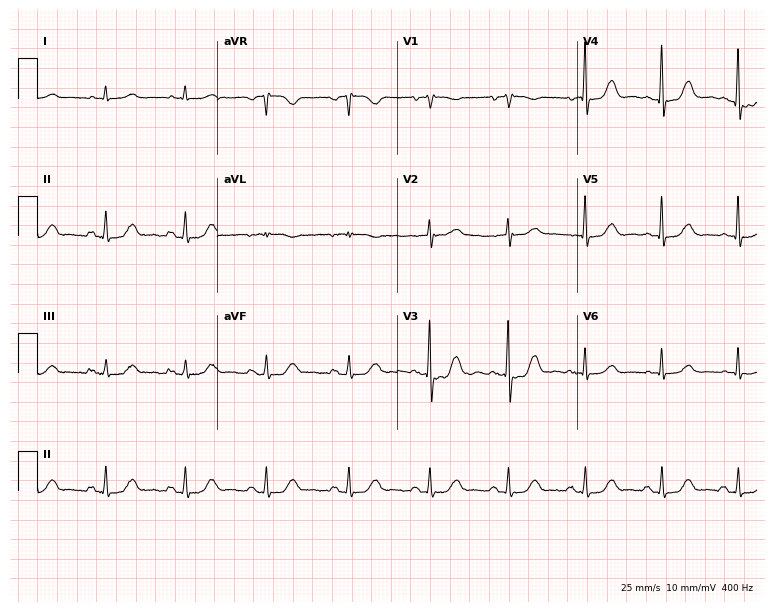
12-lead ECG from a male patient, 58 years old (7.3-second recording at 400 Hz). Recorded interpretation: within normal limits.